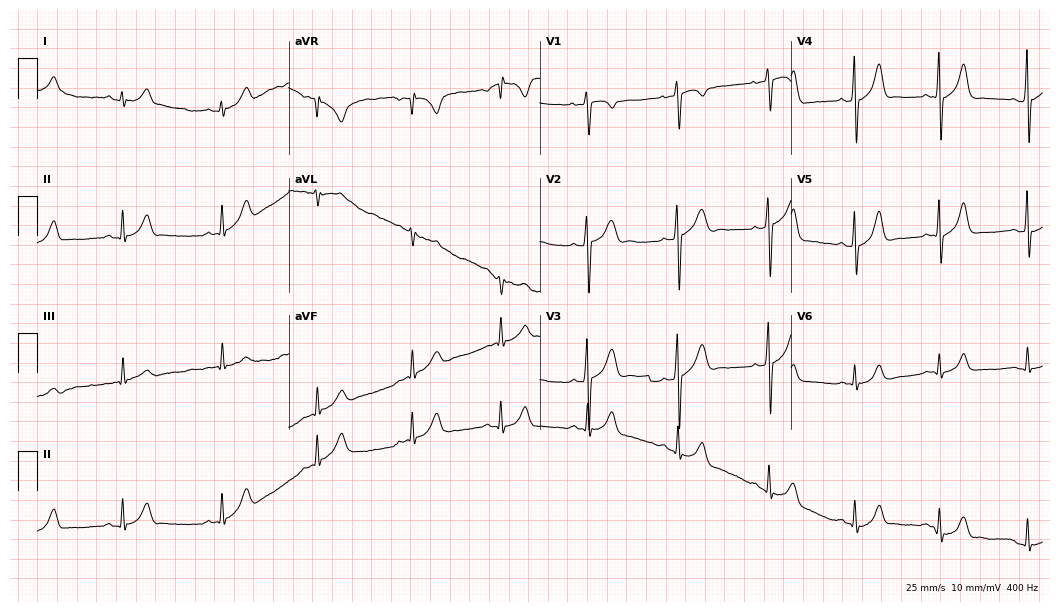
12-lead ECG from a man, 20 years old. Recorded interpretation: within normal limits.